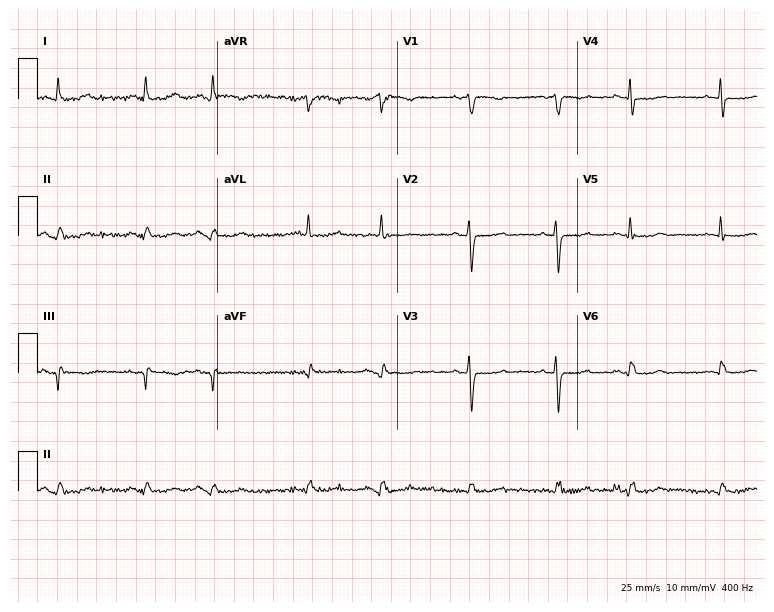
ECG — an 80-year-old woman. Screened for six findings — first-degree AV block, right bundle branch block, left bundle branch block, sinus bradycardia, atrial fibrillation, sinus tachycardia — none is recorded.